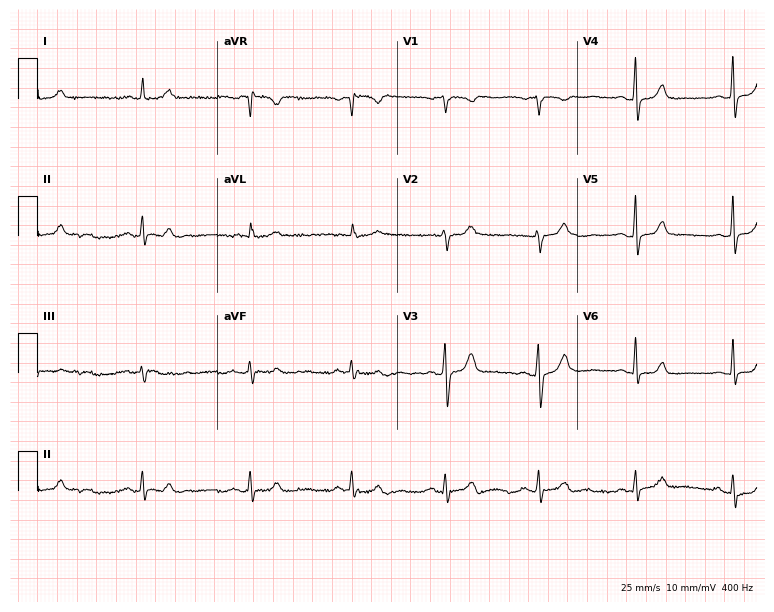
Electrocardiogram, a male, 52 years old. Overall reading on record: normal ECG.